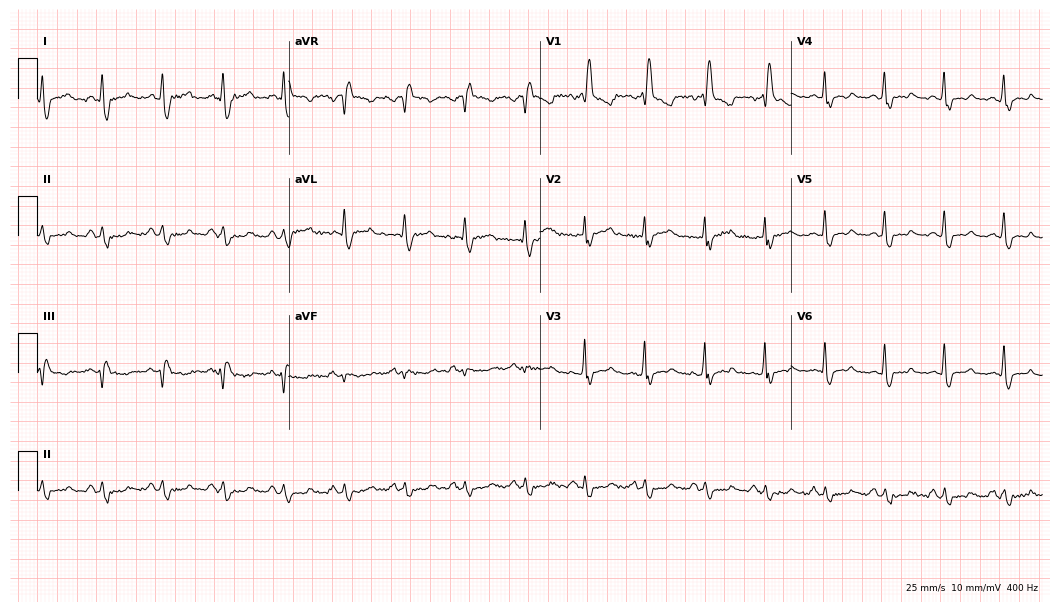
12-lead ECG from a 56-year-old male patient. Screened for six findings — first-degree AV block, right bundle branch block, left bundle branch block, sinus bradycardia, atrial fibrillation, sinus tachycardia — none is recorded. Other findings, if any, are not listed.